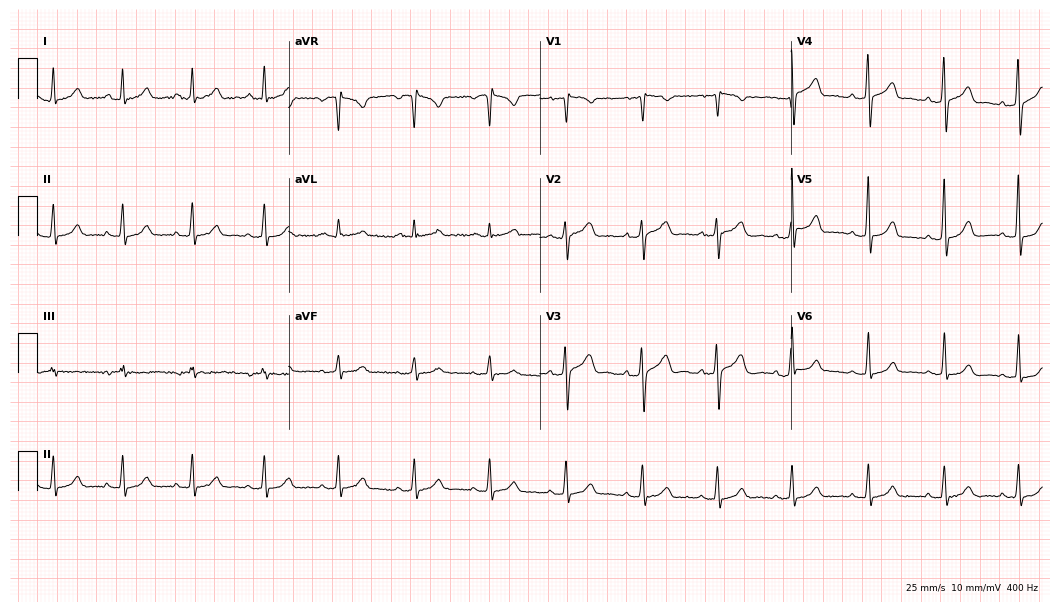
12-lead ECG from a 47-year-old woman (10.2-second recording at 400 Hz). Recorded interpretation: within normal limits.